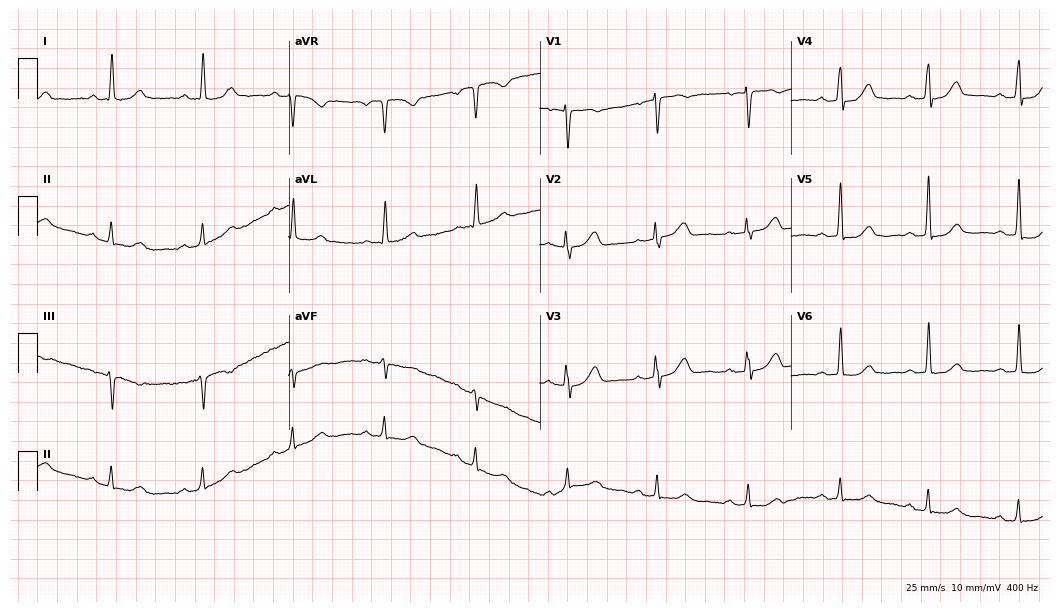
Resting 12-lead electrocardiogram (10.2-second recording at 400 Hz). Patient: a 58-year-old female. Read as a normal ECG.